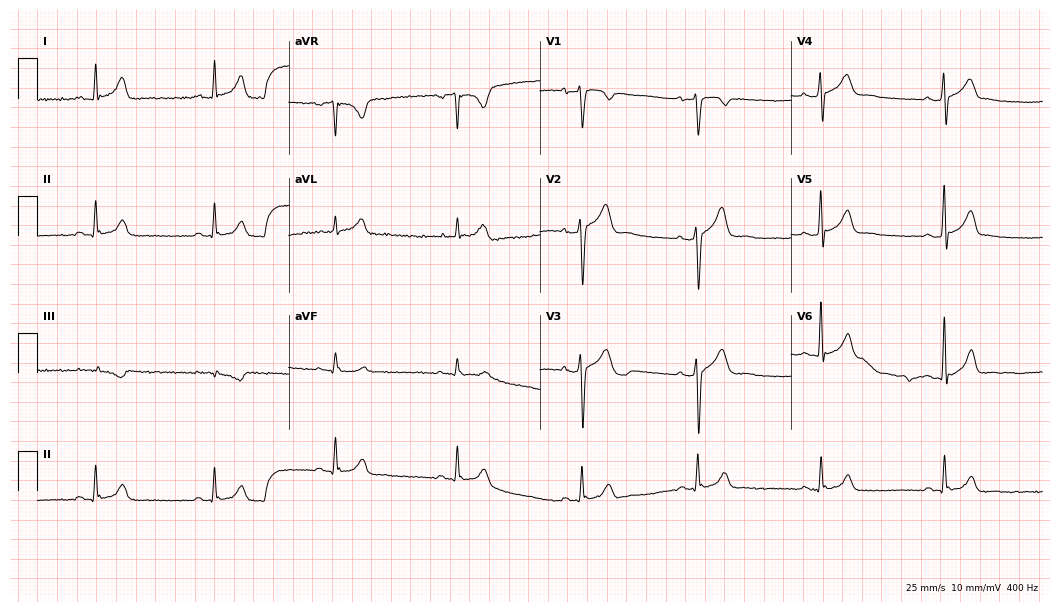
12-lead ECG from a 33-year-old male patient. Recorded interpretation: within normal limits.